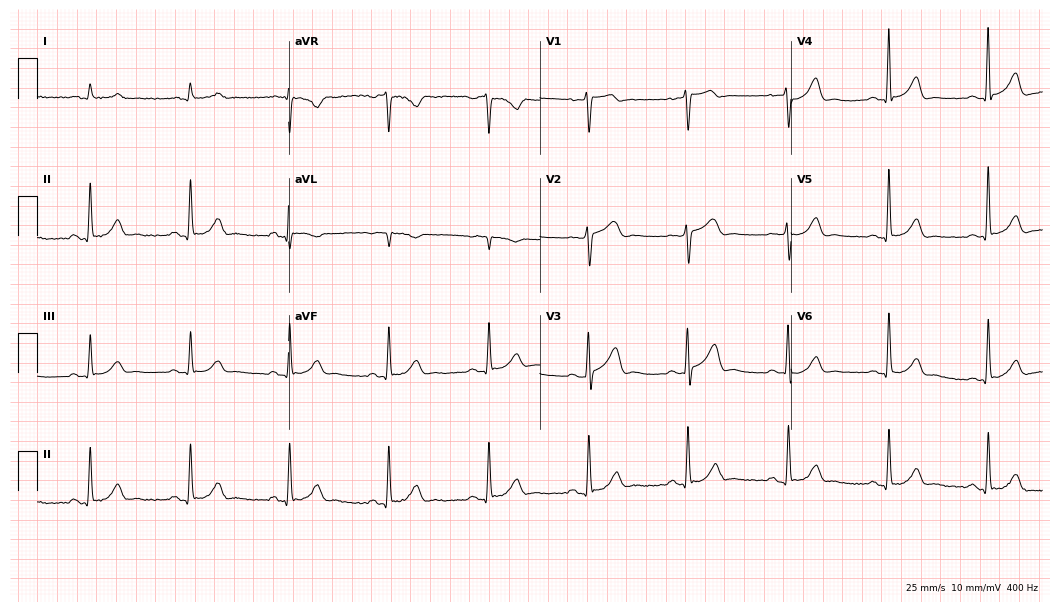
ECG (10.2-second recording at 400 Hz) — a 78-year-old male patient. Labelled as a normal ECG.